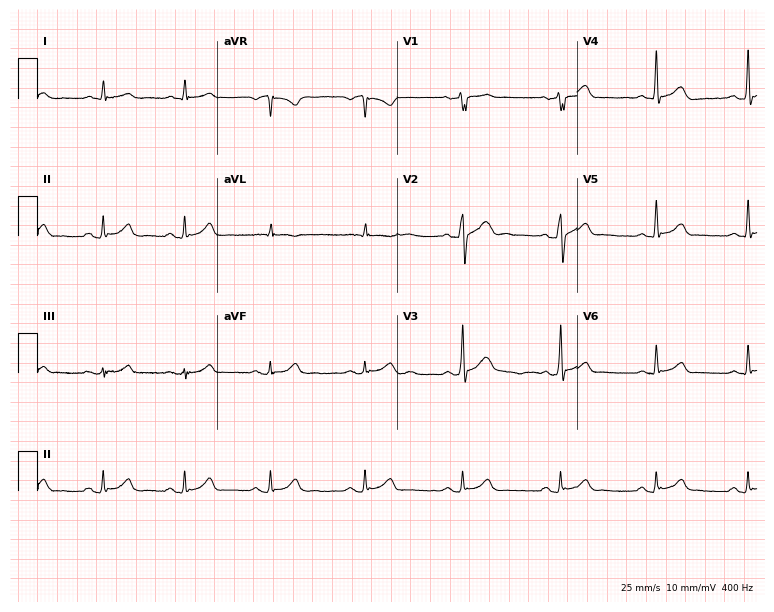
12-lead ECG from a male patient, 42 years old. Labelled as a normal ECG.